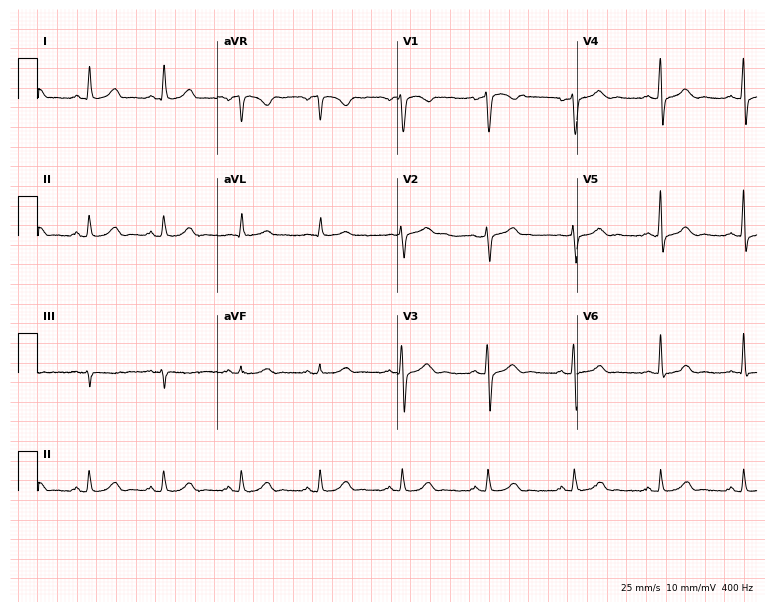
Standard 12-lead ECG recorded from a male, 51 years old (7.3-second recording at 400 Hz). Read as a normal ECG.